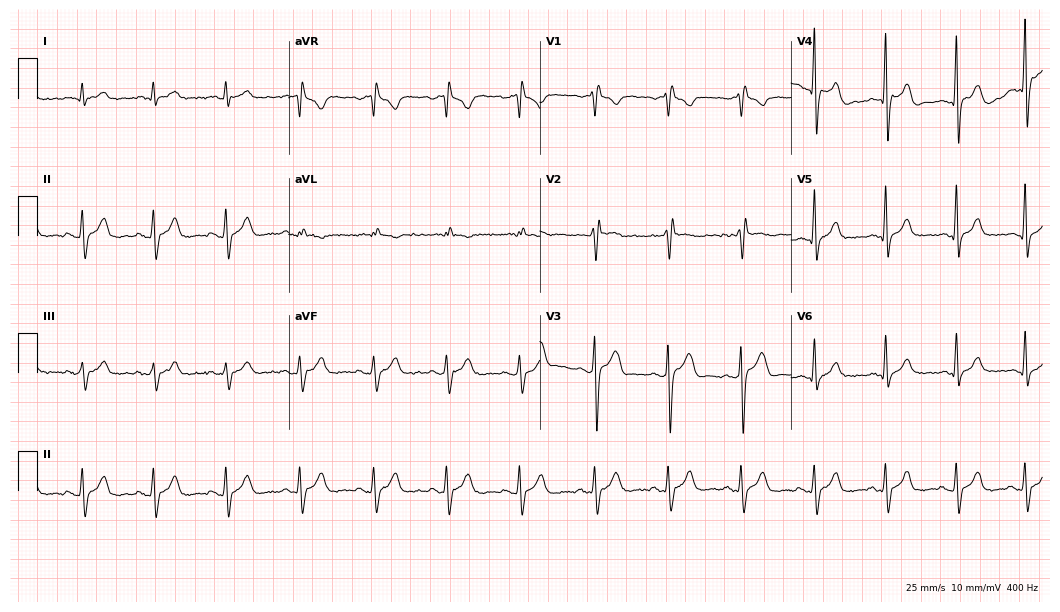
12-lead ECG from a man, 24 years old. No first-degree AV block, right bundle branch block (RBBB), left bundle branch block (LBBB), sinus bradycardia, atrial fibrillation (AF) or sinus tachycardia recorded for this tracing.